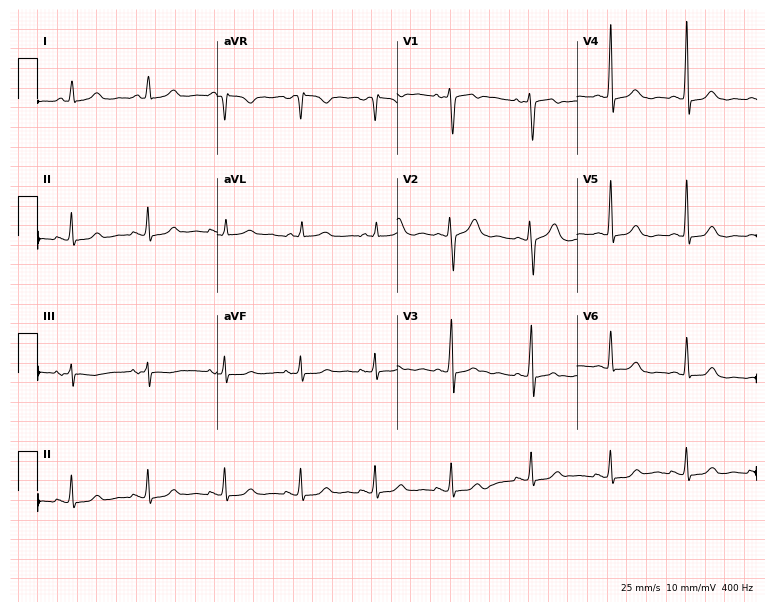
ECG (7.3-second recording at 400 Hz) — a 34-year-old female. Screened for six findings — first-degree AV block, right bundle branch block, left bundle branch block, sinus bradycardia, atrial fibrillation, sinus tachycardia — none is recorded.